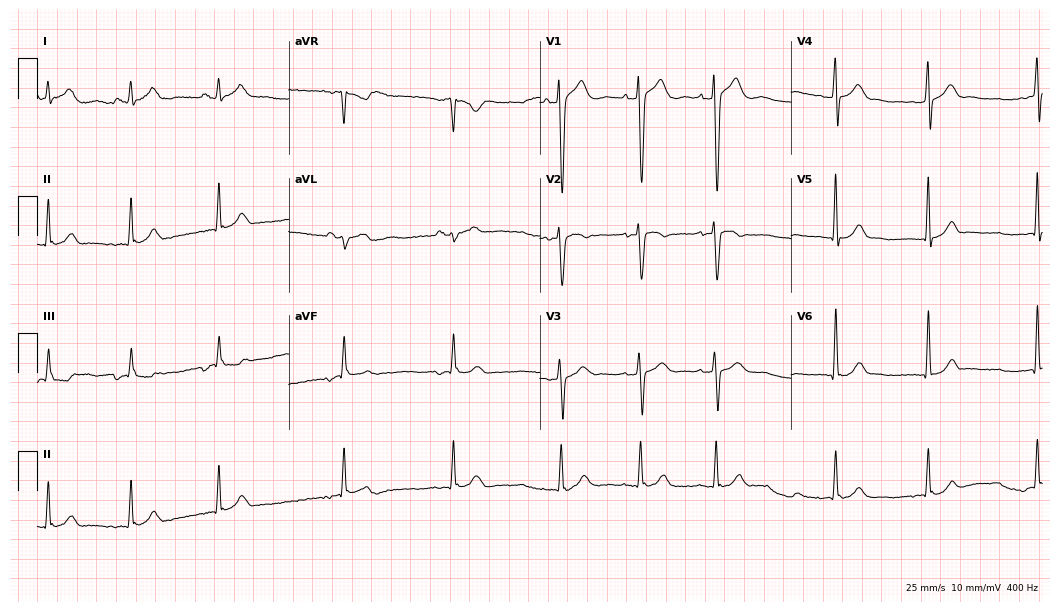
Resting 12-lead electrocardiogram (10.2-second recording at 400 Hz). Patient: a man, 17 years old. Read as a normal ECG.